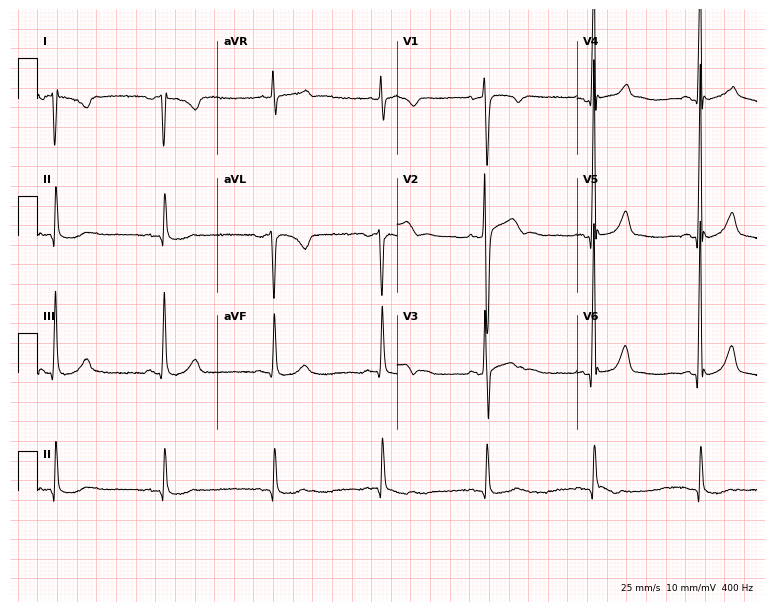
12-lead ECG from a 39-year-old male patient. No first-degree AV block, right bundle branch block, left bundle branch block, sinus bradycardia, atrial fibrillation or sinus tachycardia recorded for this tracing. Findings outside these six are not listed.